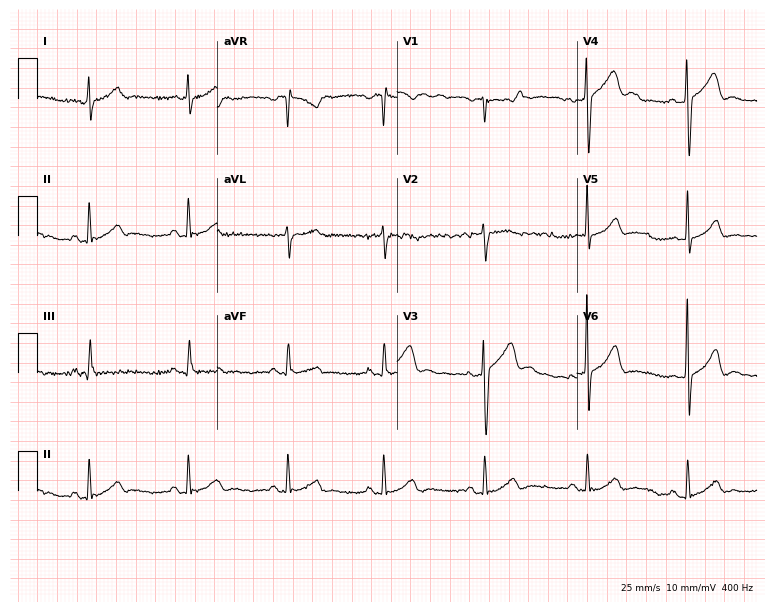
Resting 12-lead electrocardiogram. Patient: a 41-year-old female. Read as a normal ECG.